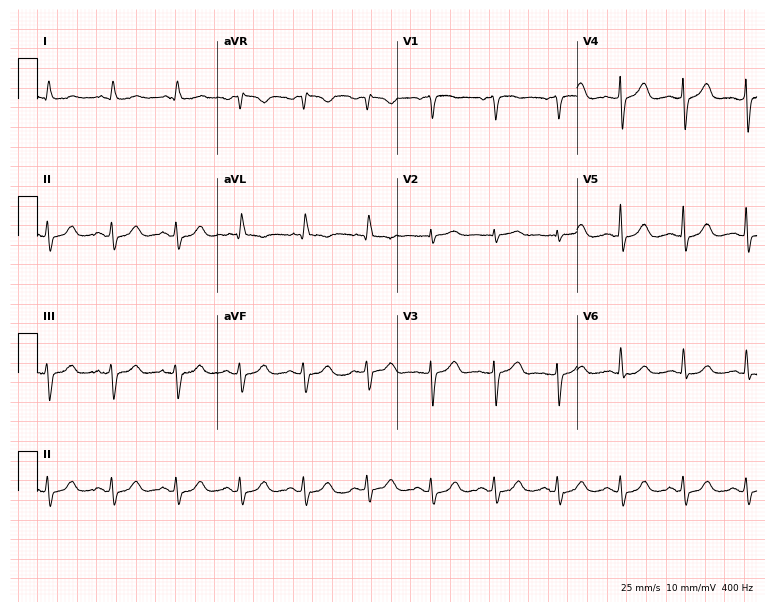
ECG — a man, 83 years old. Labelled as a normal ECG.